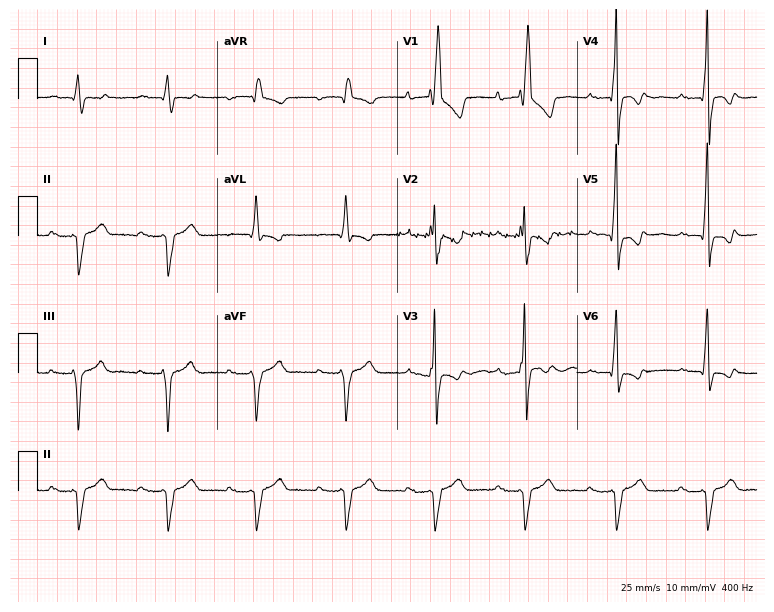
12-lead ECG from a male, 76 years old. Shows first-degree AV block, right bundle branch block.